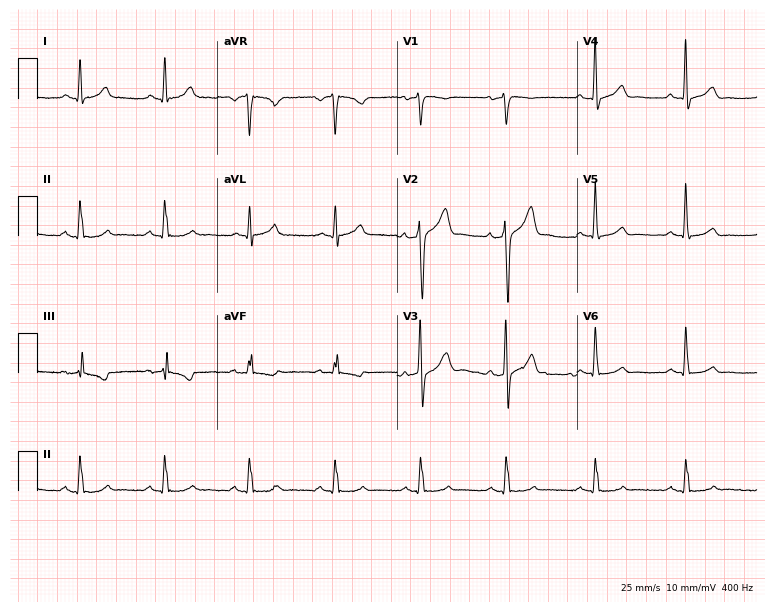
12-lead ECG from a male patient, 50 years old (7.3-second recording at 400 Hz). Recorded interpretation: within normal limits.